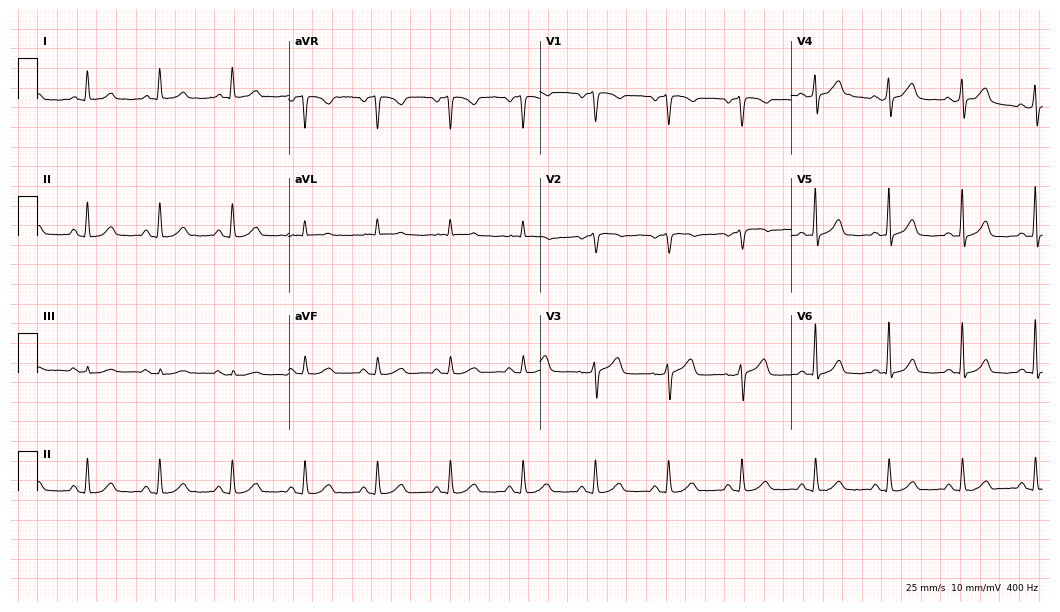
Electrocardiogram (10.2-second recording at 400 Hz), a 63-year-old woman. Overall reading on record: normal ECG.